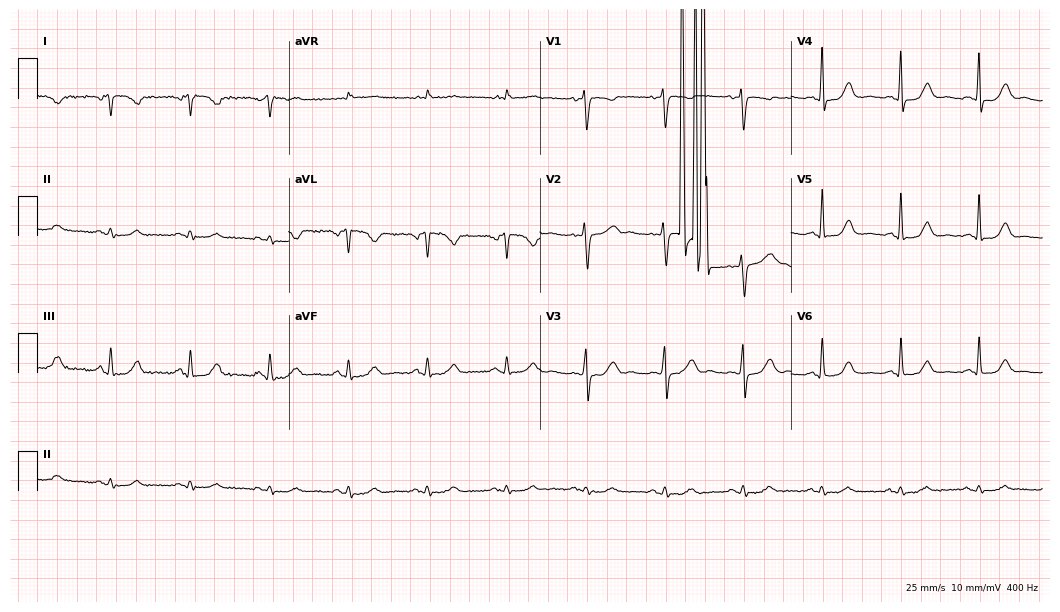
Electrocardiogram, a female patient, 61 years old. Of the six screened findings (first-degree AV block, right bundle branch block (RBBB), left bundle branch block (LBBB), sinus bradycardia, atrial fibrillation (AF), sinus tachycardia), none is recorded.